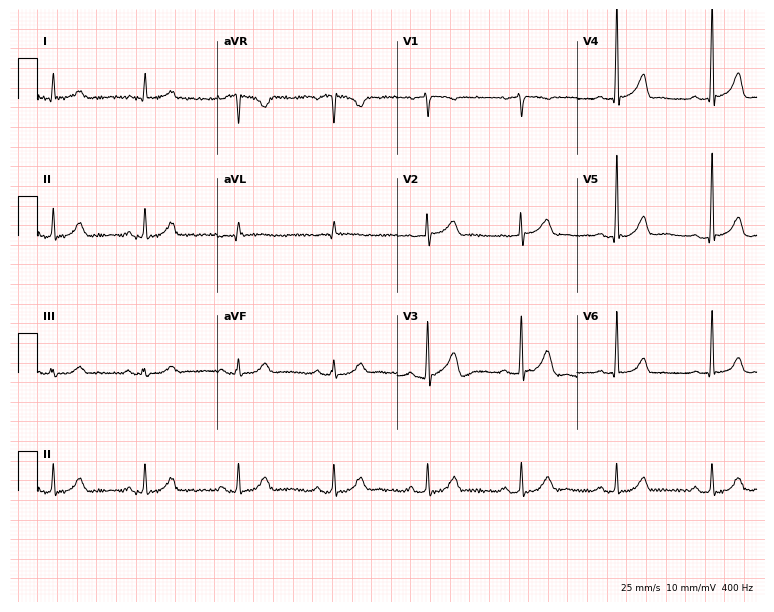
Electrocardiogram (7.3-second recording at 400 Hz), a 71-year-old man. Overall reading on record: normal ECG.